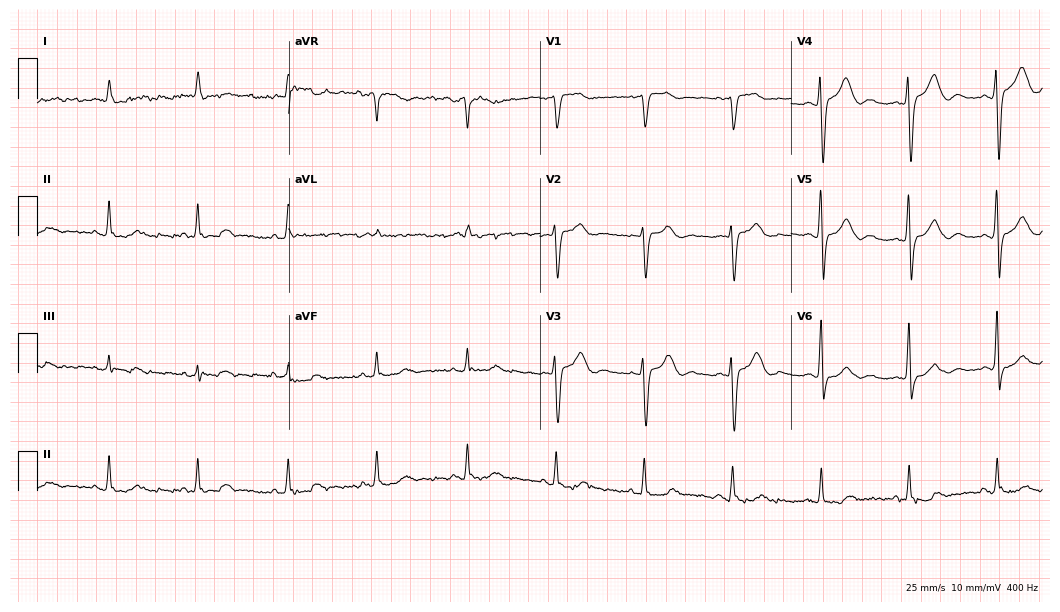
Electrocardiogram, a woman, 52 years old. Of the six screened findings (first-degree AV block, right bundle branch block, left bundle branch block, sinus bradycardia, atrial fibrillation, sinus tachycardia), none is recorded. Findings outside these six are not listed.